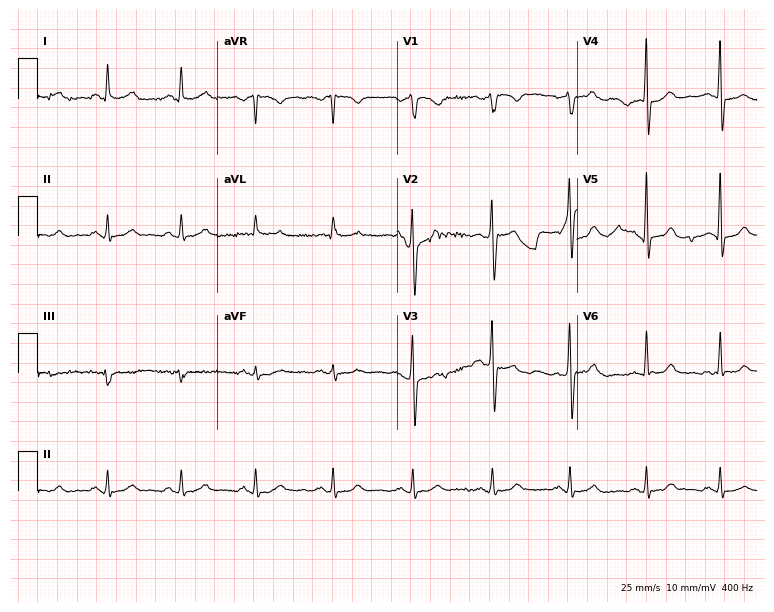
12-lead ECG (7.3-second recording at 400 Hz) from a 37-year-old man. Screened for six findings — first-degree AV block, right bundle branch block, left bundle branch block, sinus bradycardia, atrial fibrillation, sinus tachycardia — none is recorded.